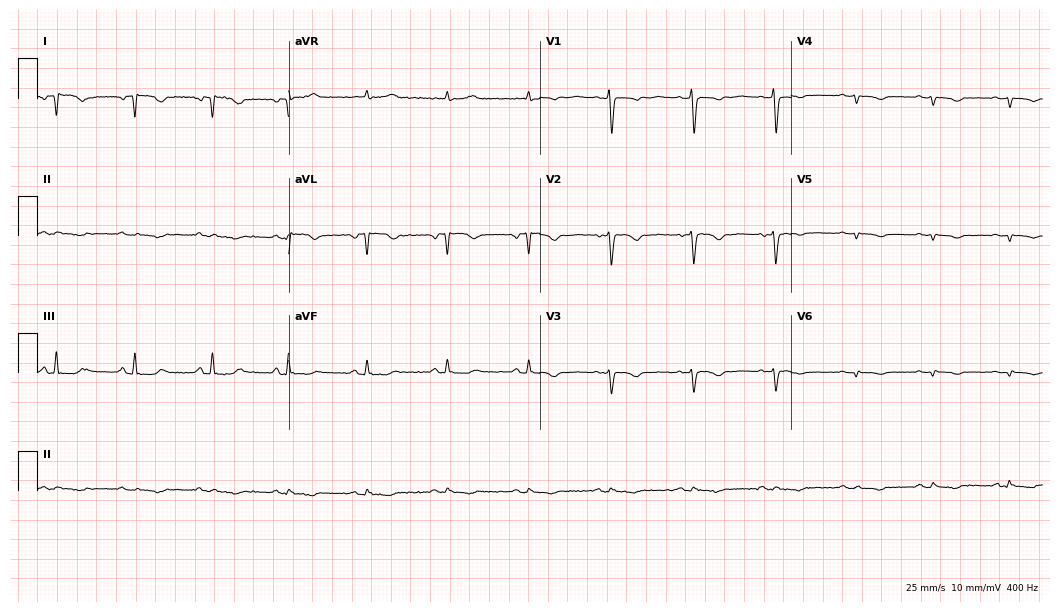
ECG — a 39-year-old female. Screened for six findings — first-degree AV block, right bundle branch block, left bundle branch block, sinus bradycardia, atrial fibrillation, sinus tachycardia — none is recorded. Findings outside these six are not listed.